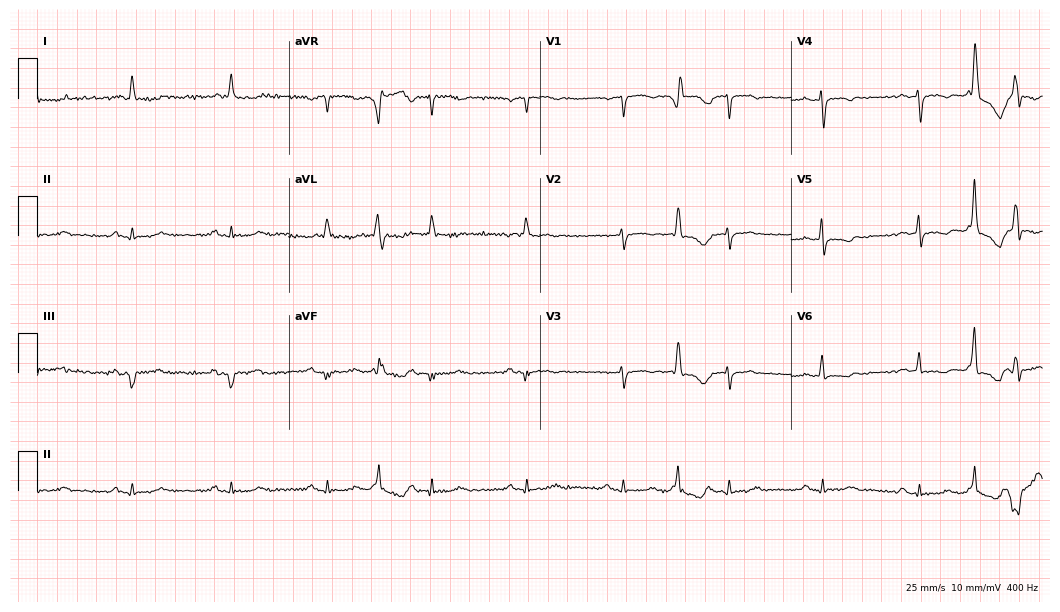
Resting 12-lead electrocardiogram (10.2-second recording at 400 Hz). Patient: a 79-year-old female. None of these six findings is recorded: first-degree AV block, right bundle branch block (RBBB), left bundle branch block (LBBB), sinus bradycardia, atrial fibrillation (AF), sinus tachycardia. Only these six findings were labelled.